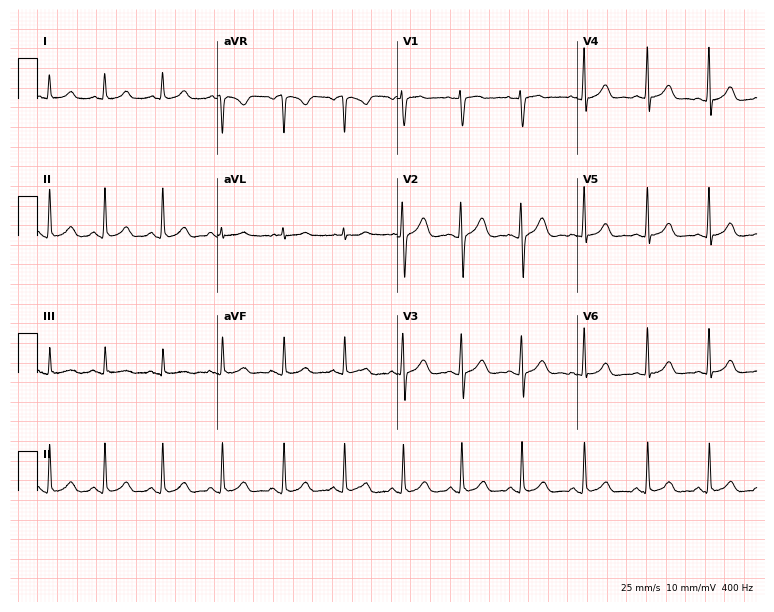
Resting 12-lead electrocardiogram. Patient: a woman, 25 years old. None of these six findings is recorded: first-degree AV block, right bundle branch block, left bundle branch block, sinus bradycardia, atrial fibrillation, sinus tachycardia. Other findings, if any, are not listed.